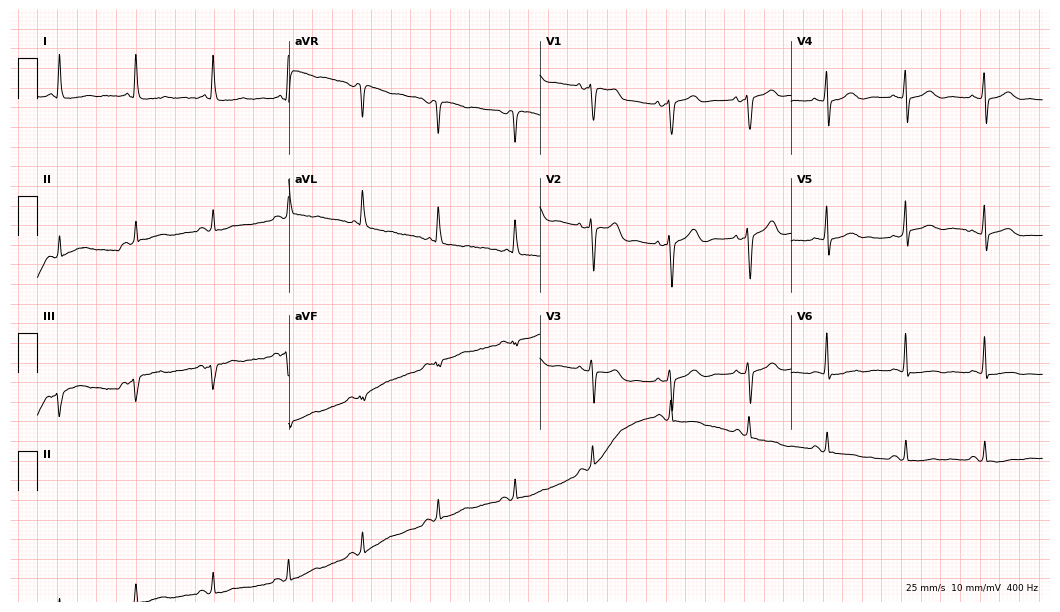
12-lead ECG from a male, 84 years old. No first-degree AV block, right bundle branch block (RBBB), left bundle branch block (LBBB), sinus bradycardia, atrial fibrillation (AF) or sinus tachycardia recorded for this tracing. Other findings, if any, are not listed.